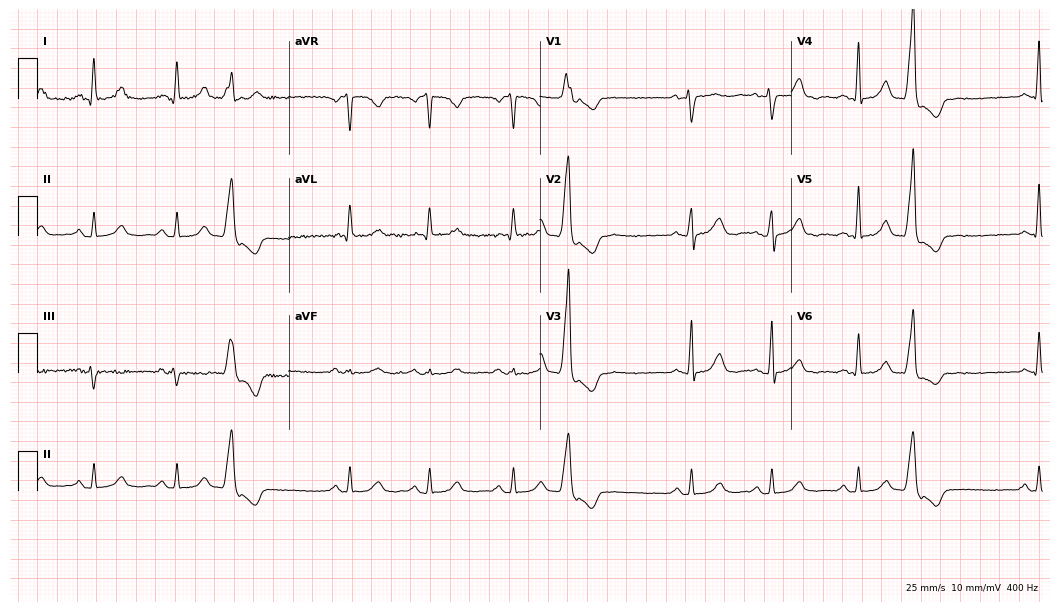
Electrocardiogram, a 62-year-old female. Of the six screened findings (first-degree AV block, right bundle branch block, left bundle branch block, sinus bradycardia, atrial fibrillation, sinus tachycardia), none is recorded.